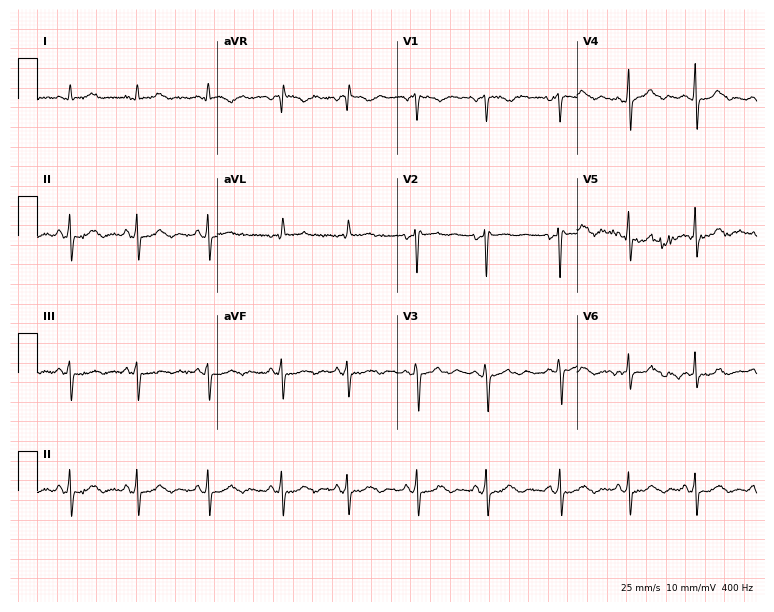
Electrocardiogram, a 48-year-old female patient. Of the six screened findings (first-degree AV block, right bundle branch block, left bundle branch block, sinus bradycardia, atrial fibrillation, sinus tachycardia), none is recorded. Only these six findings were labelled.